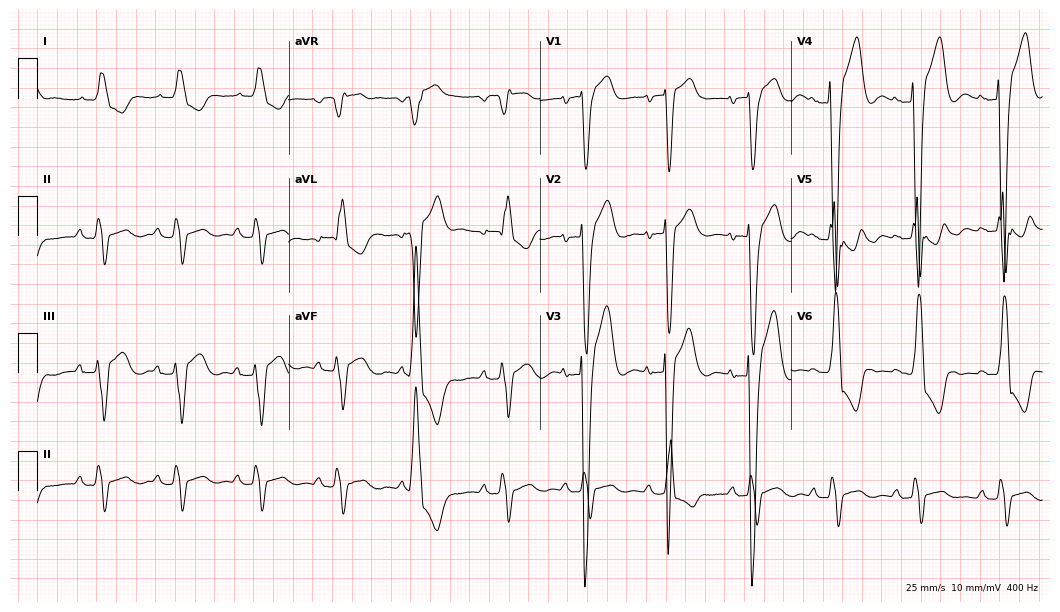
Resting 12-lead electrocardiogram. Patient: a 79-year-old female. The tracing shows left bundle branch block.